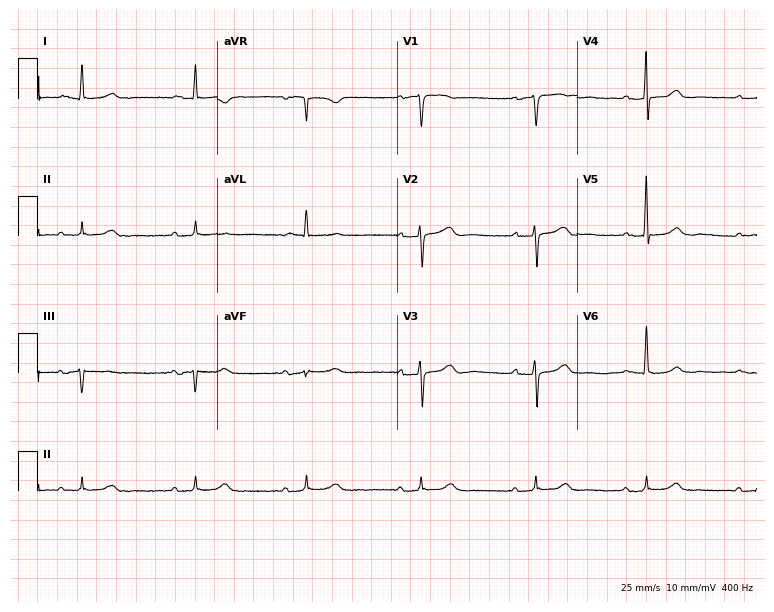
Resting 12-lead electrocardiogram. Patient: a female, 71 years old. None of these six findings is recorded: first-degree AV block, right bundle branch block, left bundle branch block, sinus bradycardia, atrial fibrillation, sinus tachycardia. Other findings, if any, are not listed.